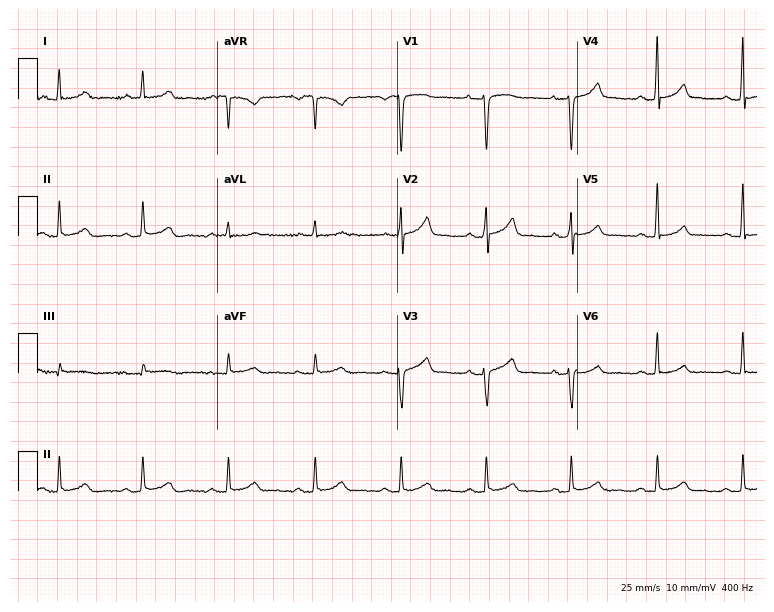
Resting 12-lead electrocardiogram. Patient: a female, 57 years old. Read as a normal ECG.